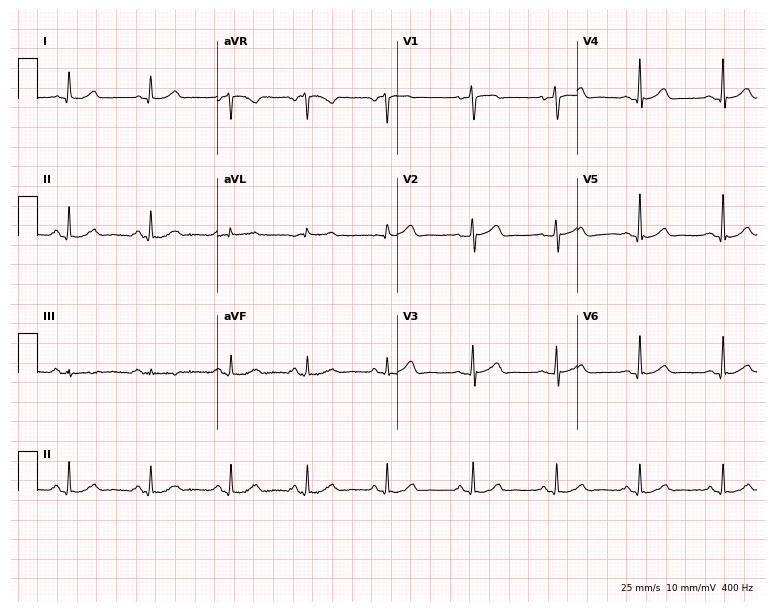
Standard 12-lead ECG recorded from a 65-year-old male (7.3-second recording at 400 Hz). Read as a normal ECG.